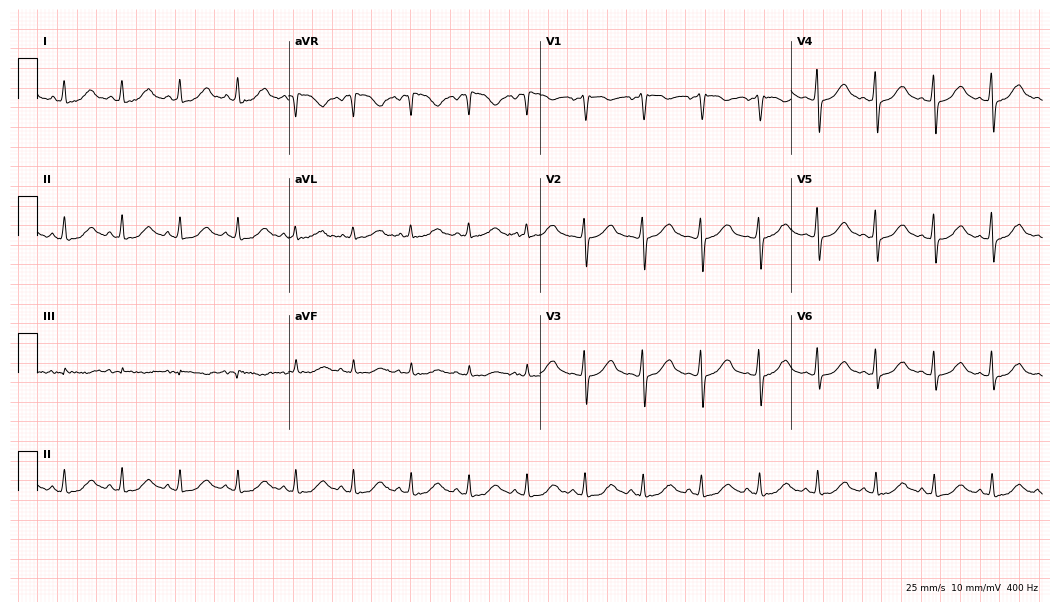
Standard 12-lead ECG recorded from a female, 39 years old. The tracing shows sinus tachycardia (a sinus rate of 100 beats per minute or more).